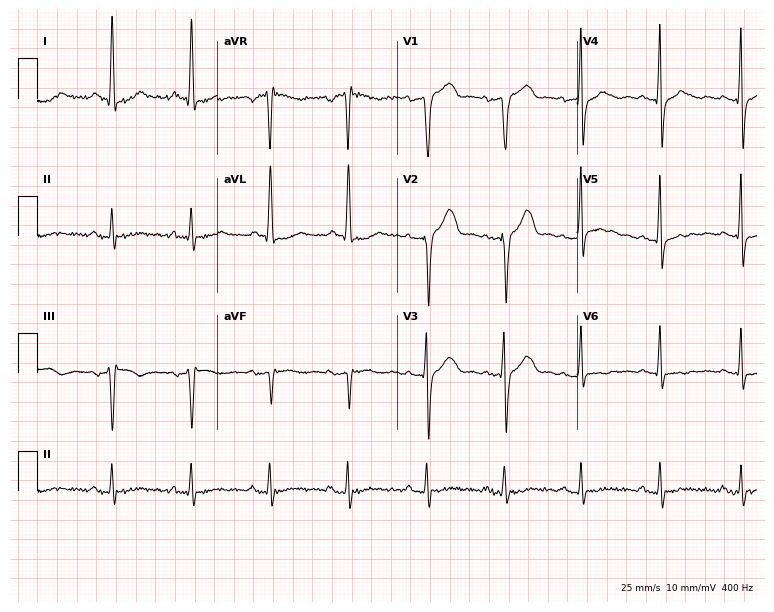
ECG — a female, 57 years old. Screened for six findings — first-degree AV block, right bundle branch block, left bundle branch block, sinus bradycardia, atrial fibrillation, sinus tachycardia — none is recorded.